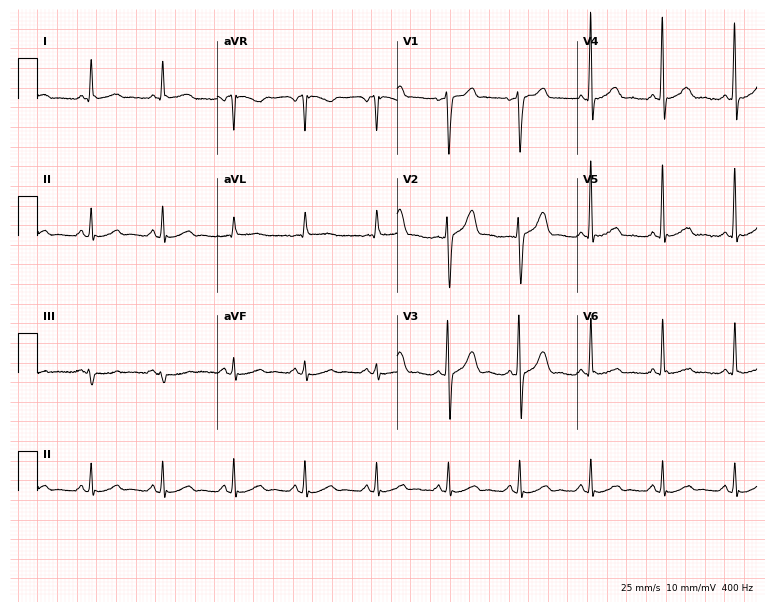
Standard 12-lead ECG recorded from a 75-year-old male patient (7.3-second recording at 400 Hz). Read as a normal ECG.